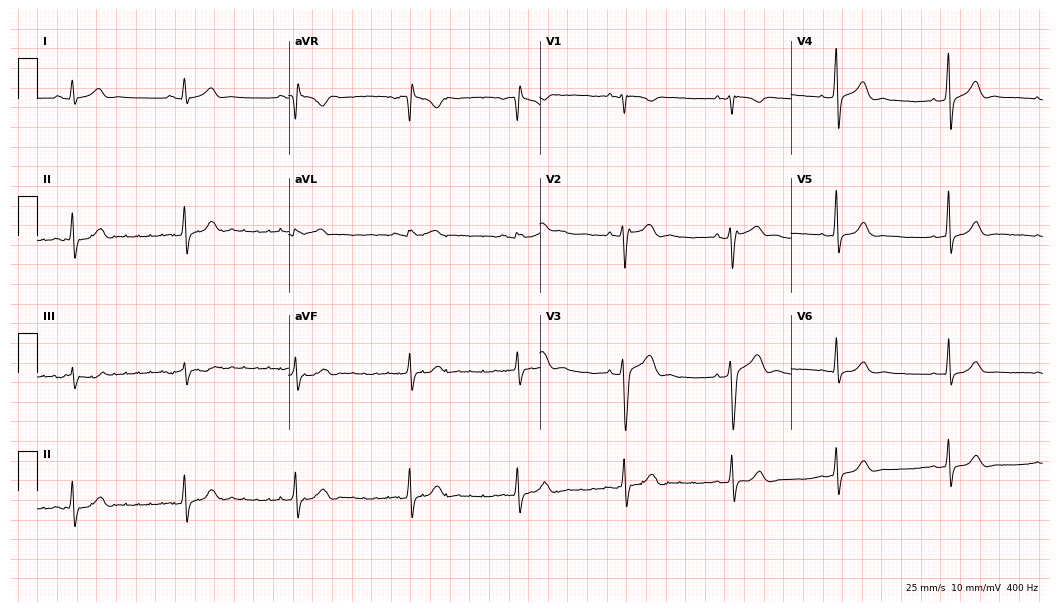
12-lead ECG (10.2-second recording at 400 Hz) from a 27-year-old male. Screened for six findings — first-degree AV block, right bundle branch block, left bundle branch block, sinus bradycardia, atrial fibrillation, sinus tachycardia — none is recorded.